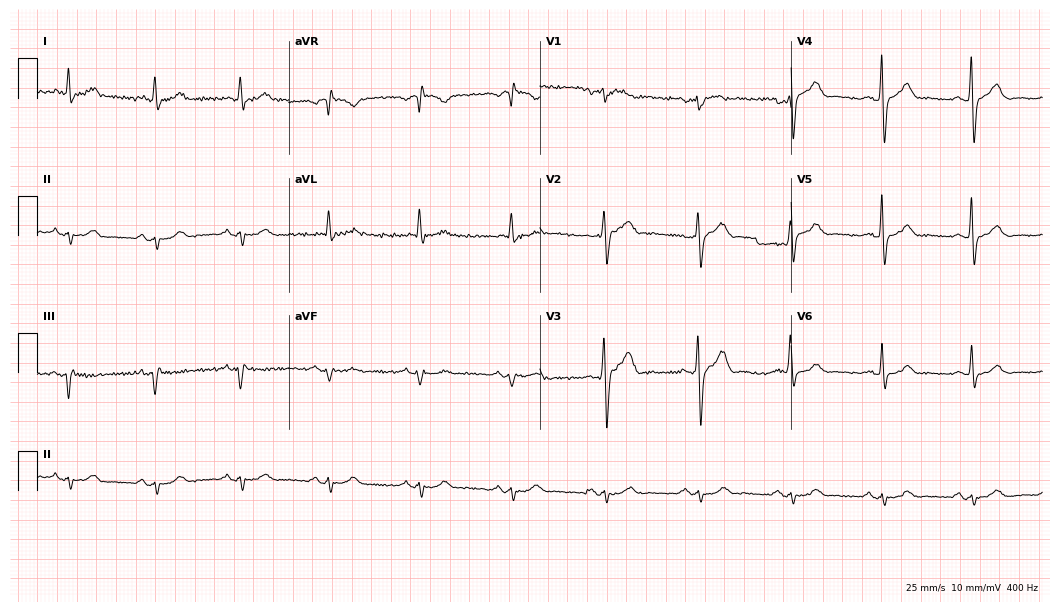
ECG — a man, 69 years old. Screened for six findings — first-degree AV block, right bundle branch block (RBBB), left bundle branch block (LBBB), sinus bradycardia, atrial fibrillation (AF), sinus tachycardia — none is recorded. Only these six findings were labelled.